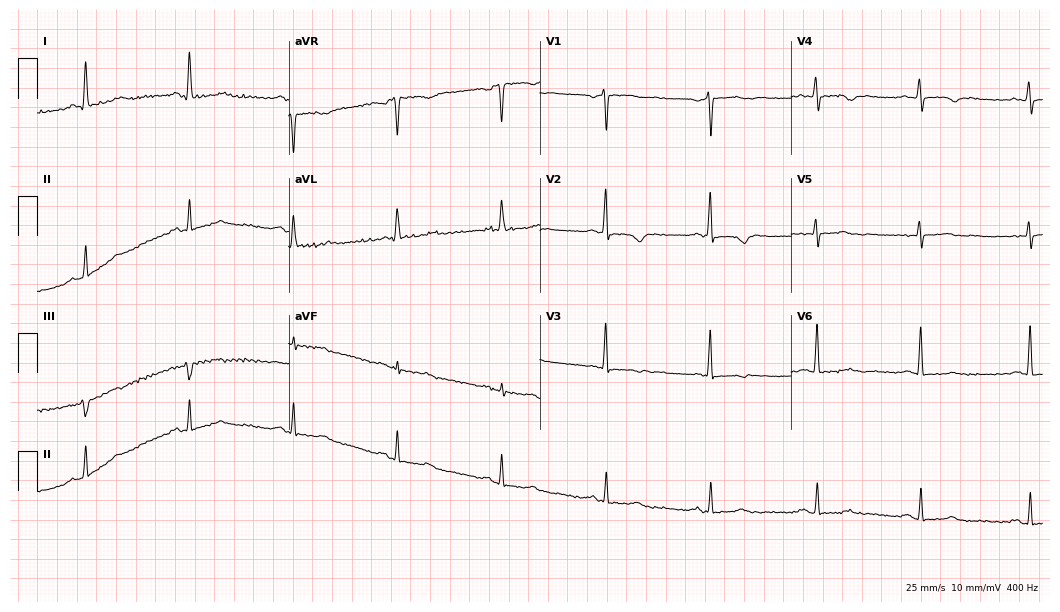
ECG (10.2-second recording at 400 Hz) — a 70-year-old woman. Screened for six findings — first-degree AV block, right bundle branch block, left bundle branch block, sinus bradycardia, atrial fibrillation, sinus tachycardia — none is recorded. Only these six findings were labelled.